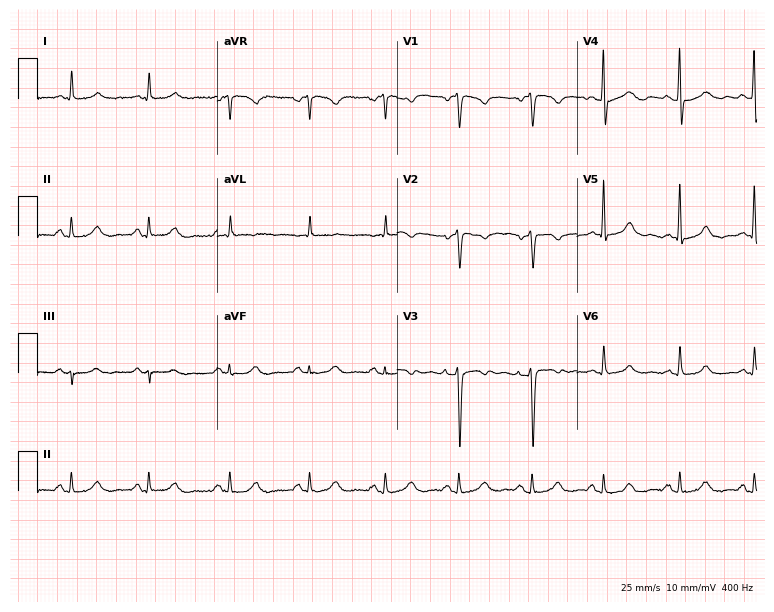
Standard 12-lead ECG recorded from a woman, 45 years old. Read as a normal ECG.